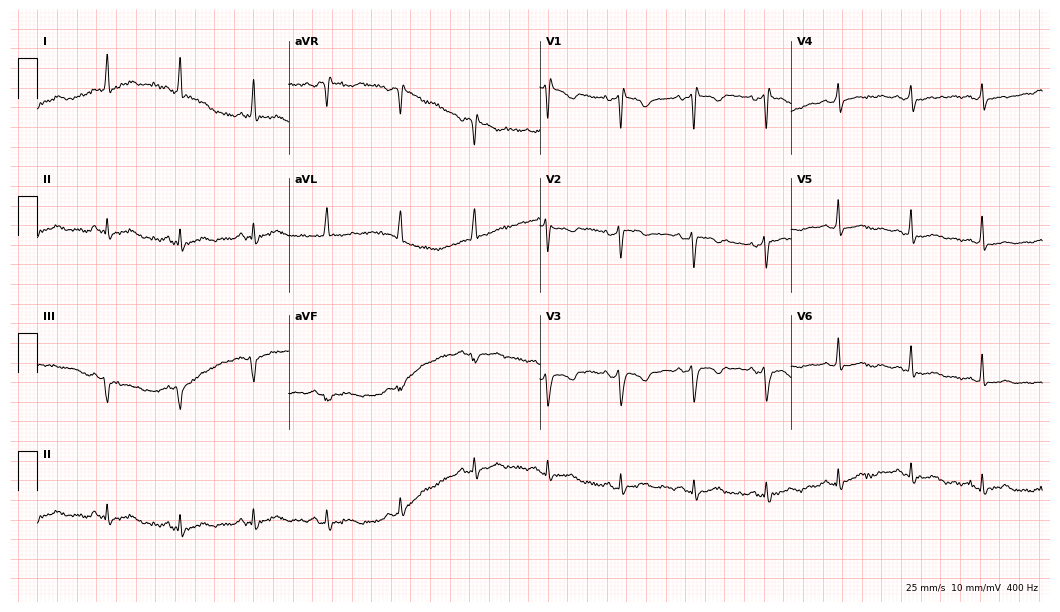
12-lead ECG from a female patient, 61 years old. Screened for six findings — first-degree AV block, right bundle branch block, left bundle branch block, sinus bradycardia, atrial fibrillation, sinus tachycardia — none is recorded.